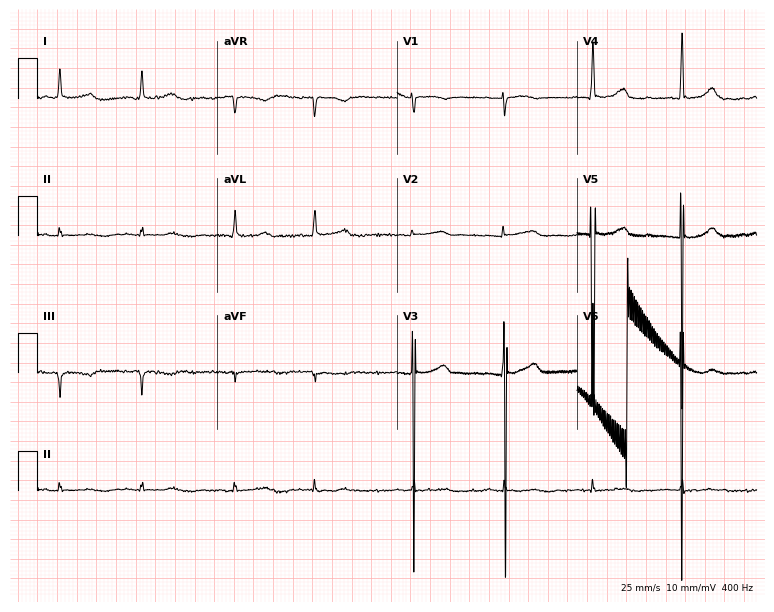
12-lead ECG (7.3-second recording at 400 Hz) from a female, 75 years old. Screened for six findings — first-degree AV block, right bundle branch block, left bundle branch block, sinus bradycardia, atrial fibrillation, sinus tachycardia — none is recorded. Only these six findings were labelled.